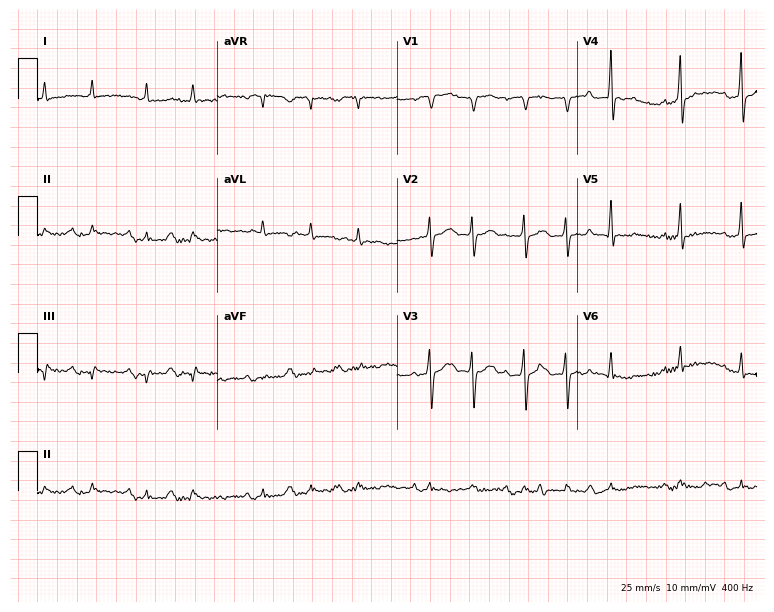
12-lead ECG from a 79-year-old male. Screened for six findings — first-degree AV block, right bundle branch block, left bundle branch block, sinus bradycardia, atrial fibrillation, sinus tachycardia — none is recorded.